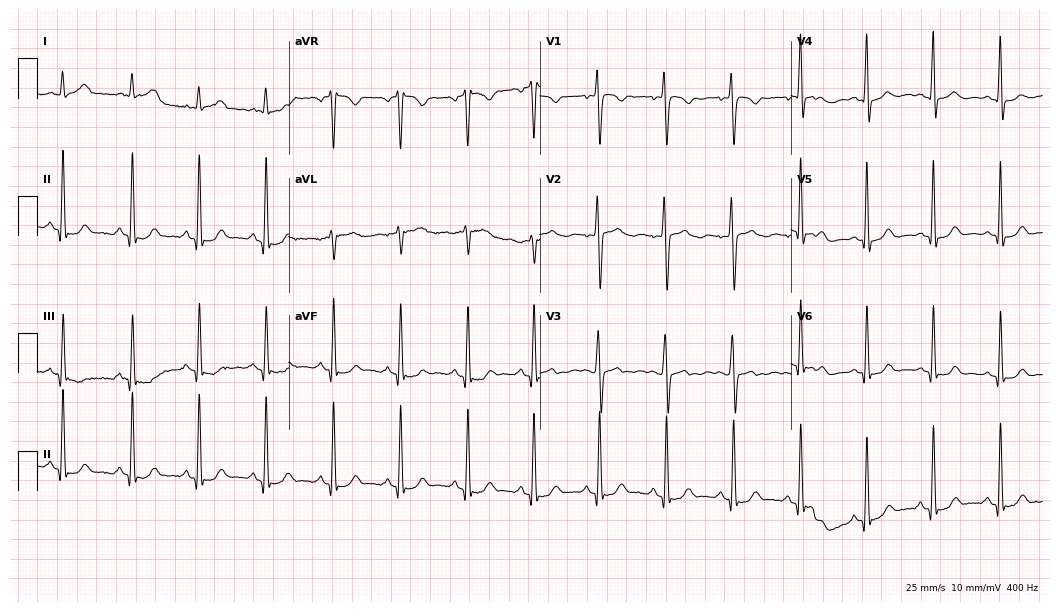
12-lead ECG from a female, 38 years old. Screened for six findings — first-degree AV block, right bundle branch block (RBBB), left bundle branch block (LBBB), sinus bradycardia, atrial fibrillation (AF), sinus tachycardia — none is recorded.